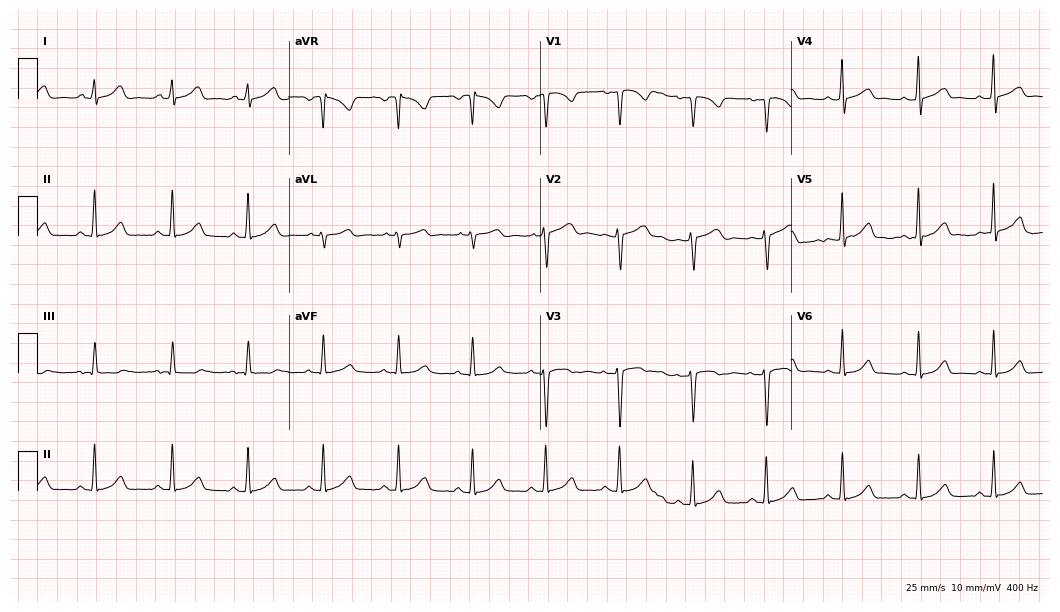
Standard 12-lead ECG recorded from a female patient, 34 years old. Read as a normal ECG.